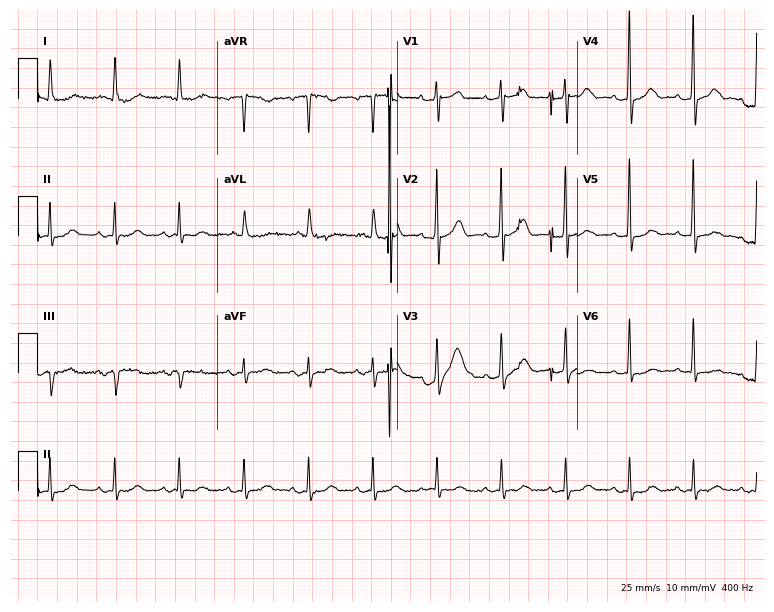
Electrocardiogram (7.3-second recording at 400 Hz), a female, 77 years old. Of the six screened findings (first-degree AV block, right bundle branch block, left bundle branch block, sinus bradycardia, atrial fibrillation, sinus tachycardia), none is recorded. Other findings, if any, are not listed.